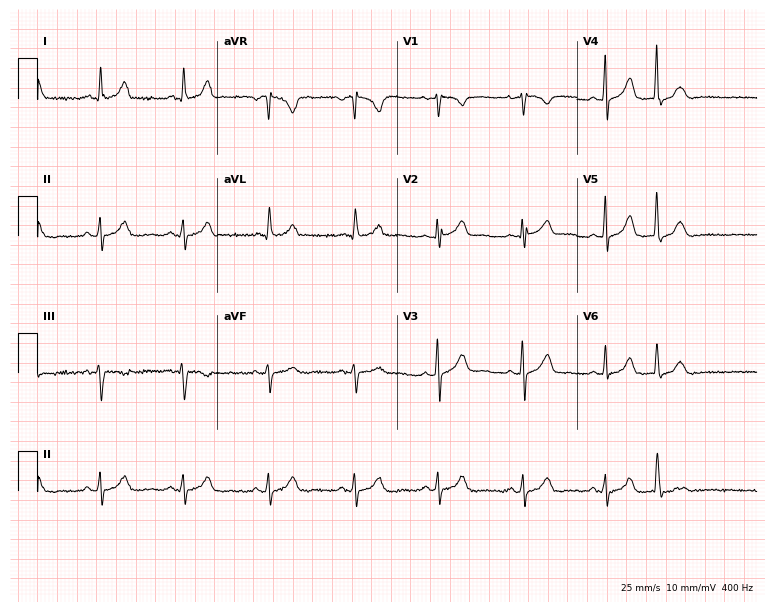
Electrocardiogram (7.3-second recording at 400 Hz), a 35-year-old woman. Of the six screened findings (first-degree AV block, right bundle branch block (RBBB), left bundle branch block (LBBB), sinus bradycardia, atrial fibrillation (AF), sinus tachycardia), none is recorded. Findings outside these six are not listed.